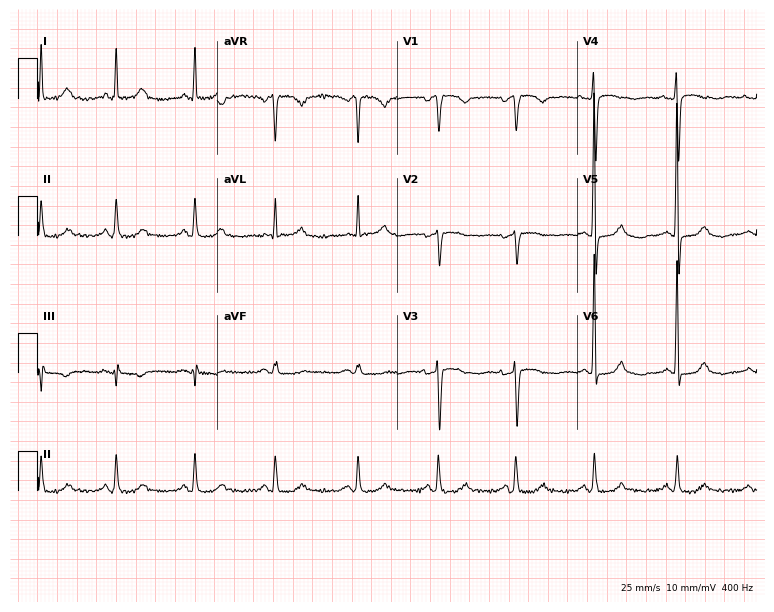
12-lead ECG (7.3-second recording at 400 Hz) from a 63-year-old female. Screened for six findings — first-degree AV block, right bundle branch block (RBBB), left bundle branch block (LBBB), sinus bradycardia, atrial fibrillation (AF), sinus tachycardia — none is recorded.